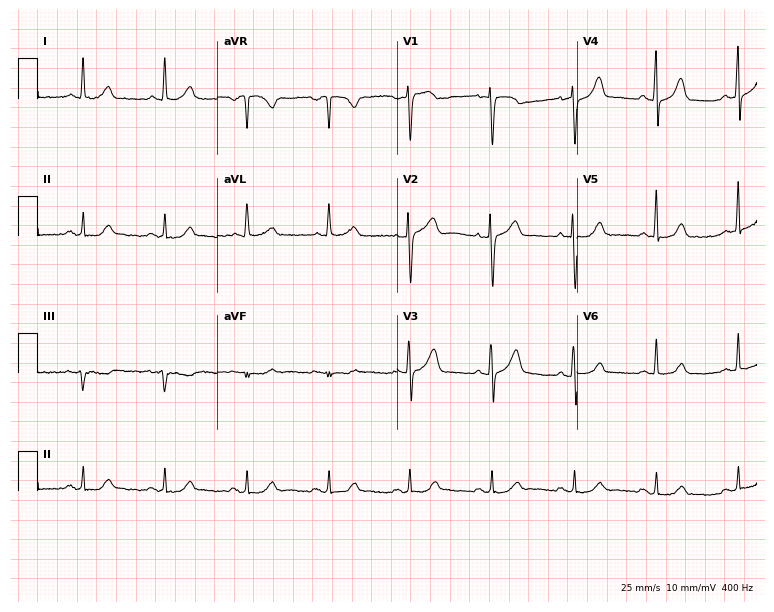
12-lead ECG (7.3-second recording at 400 Hz) from a 67-year-old woman. Labelled as a normal ECG.